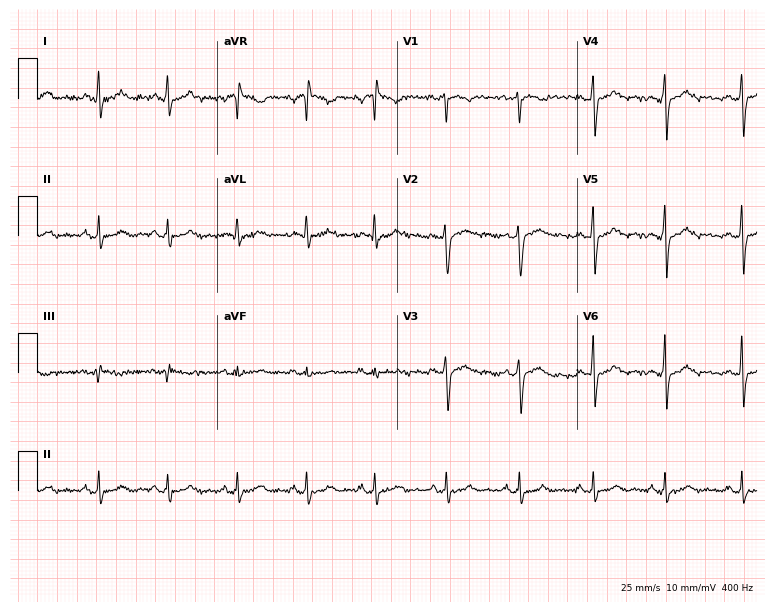
Electrocardiogram, a 32-year-old female patient. Of the six screened findings (first-degree AV block, right bundle branch block (RBBB), left bundle branch block (LBBB), sinus bradycardia, atrial fibrillation (AF), sinus tachycardia), none is recorded.